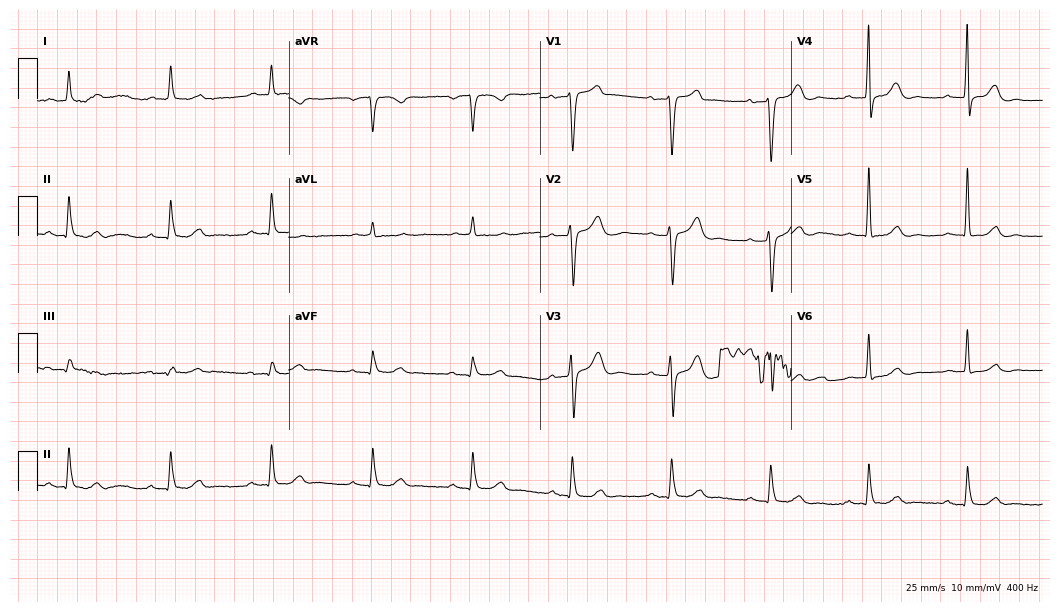
12-lead ECG from a 46-year-old woman. Screened for six findings — first-degree AV block, right bundle branch block (RBBB), left bundle branch block (LBBB), sinus bradycardia, atrial fibrillation (AF), sinus tachycardia — none is recorded.